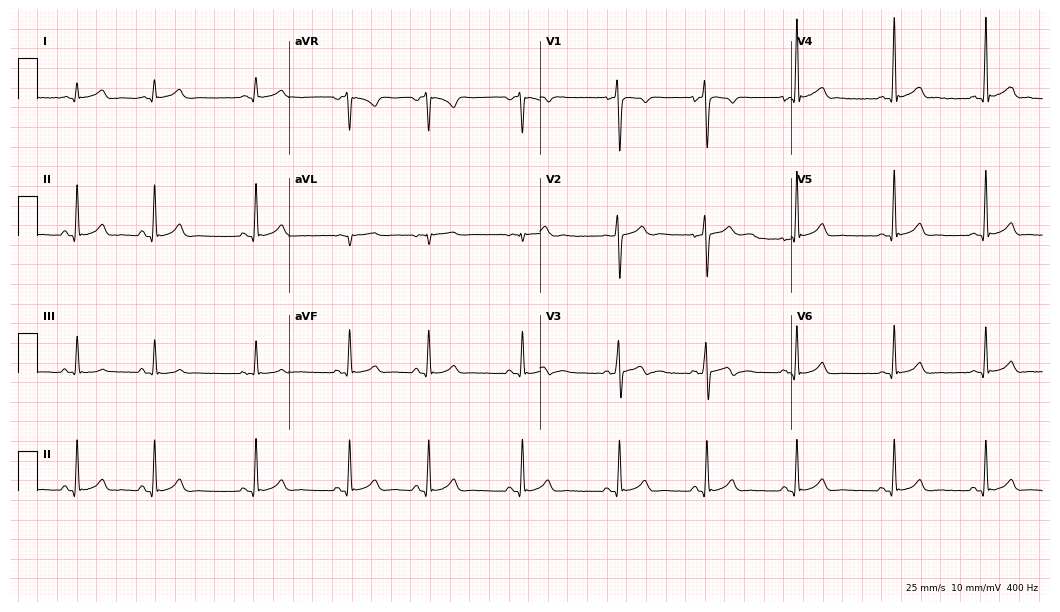
12-lead ECG from an 18-year-old male. Screened for six findings — first-degree AV block, right bundle branch block, left bundle branch block, sinus bradycardia, atrial fibrillation, sinus tachycardia — none is recorded. Only these six findings were labelled.